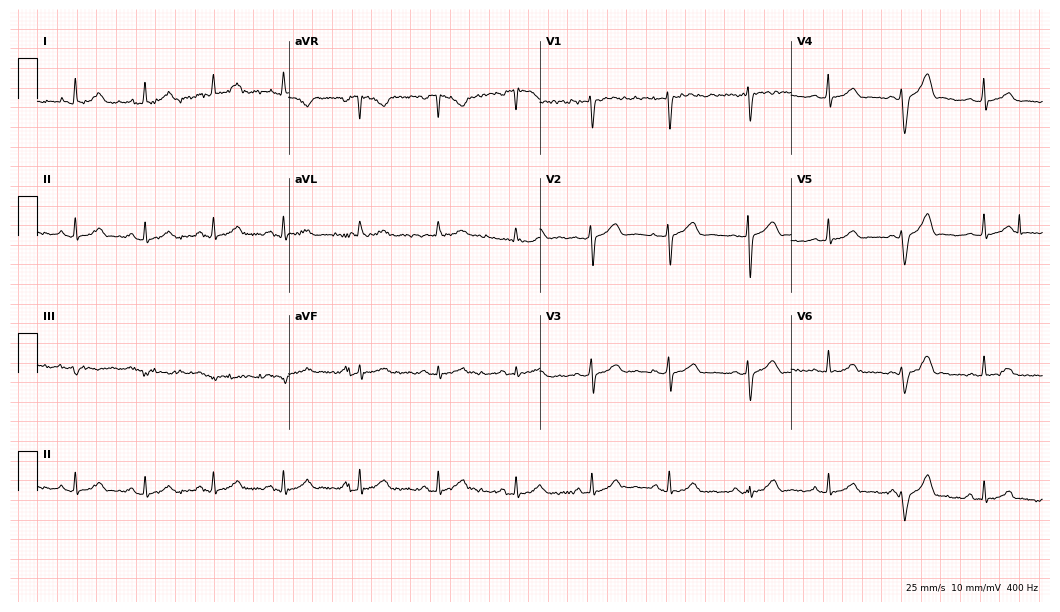
ECG (10.2-second recording at 400 Hz) — a female, 55 years old. Labelled as a normal ECG.